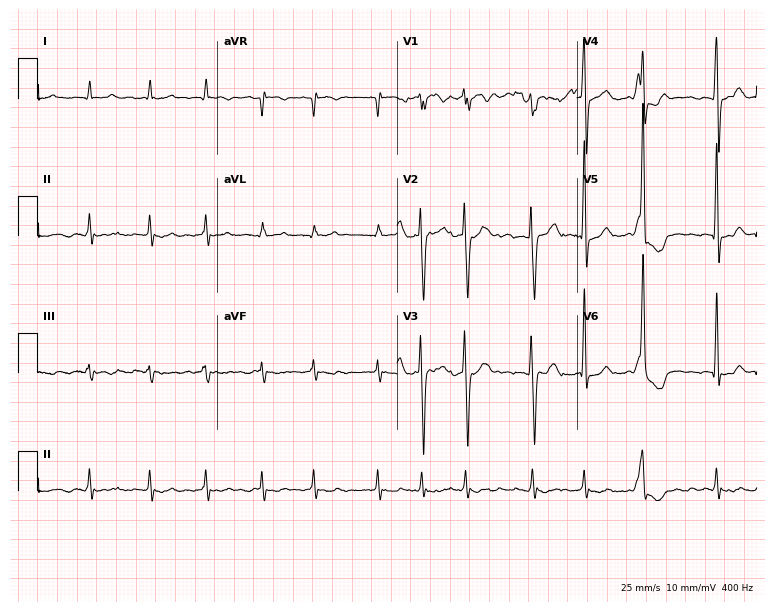
Standard 12-lead ECG recorded from a man, 73 years old (7.3-second recording at 400 Hz). The tracing shows atrial fibrillation (AF).